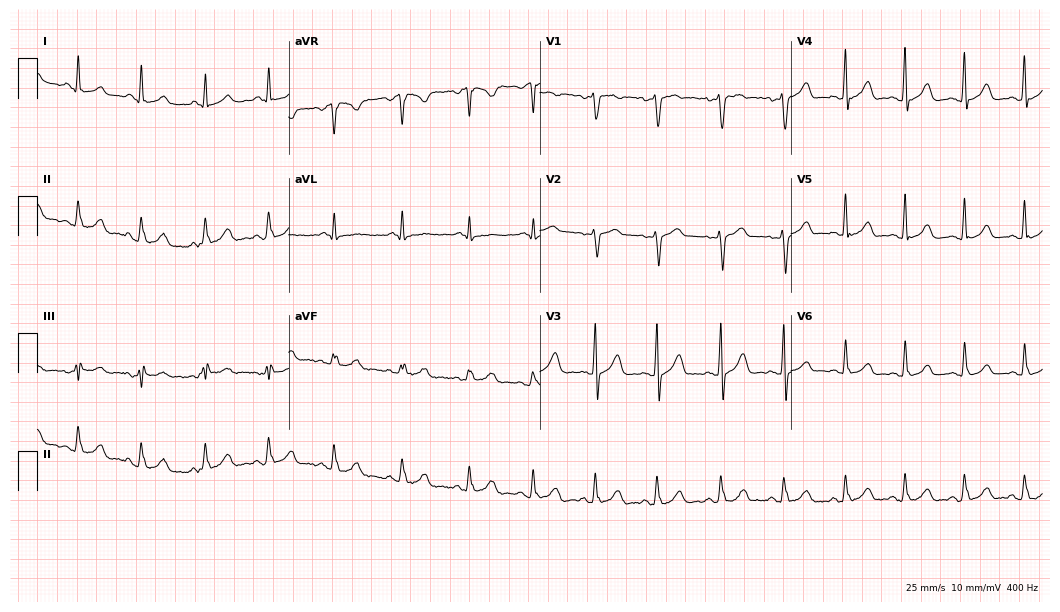
Standard 12-lead ECG recorded from a male patient, 39 years old (10.2-second recording at 400 Hz). Read as a normal ECG.